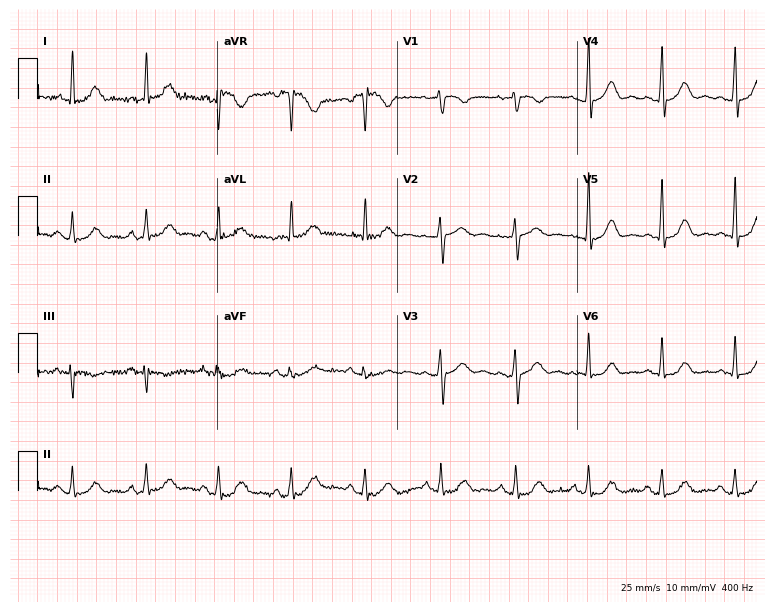
Standard 12-lead ECG recorded from a female patient, 71 years old (7.3-second recording at 400 Hz). Read as a normal ECG.